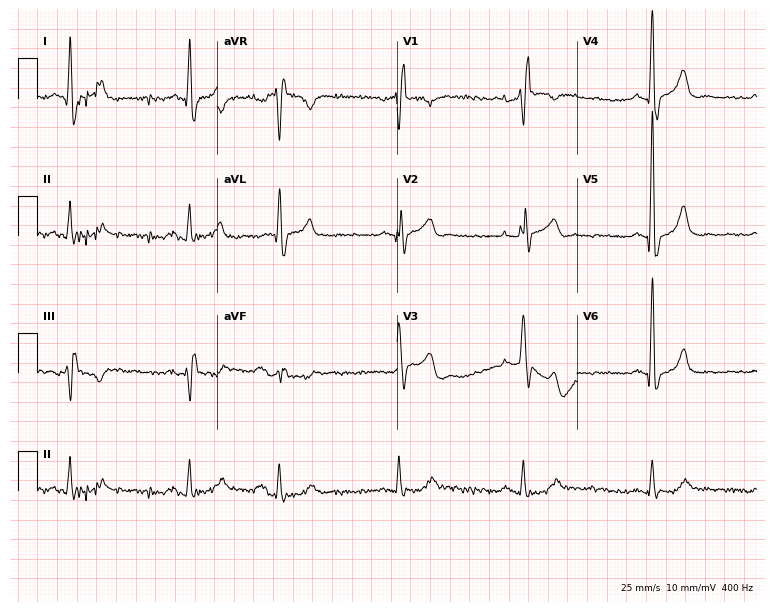
12-lead ECG from a 71-year-old male. No first-degree AV block, right bundle branch block, left bundle branch block, sinus bradycardia, atrial fibrillation or sinus tachycardia recorded for this tracing.